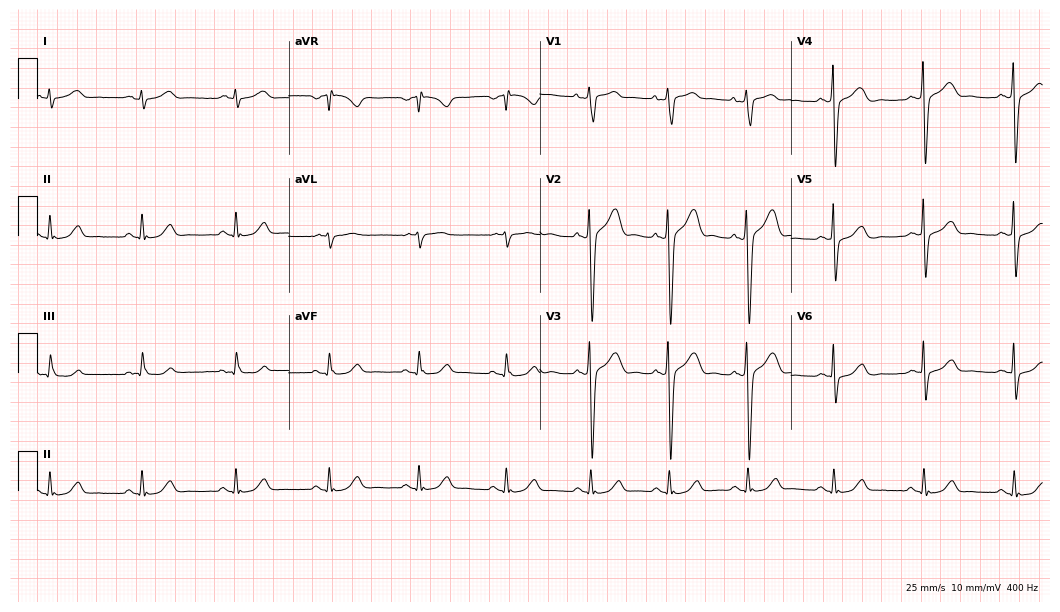
ECG — a 38-year-old male. Screened for six findings — first-degree AV block, right bundle branch block, left bundle branch block, sinus bradycardia, atrial fibrillation, sinus tachycardia — none is recorded.